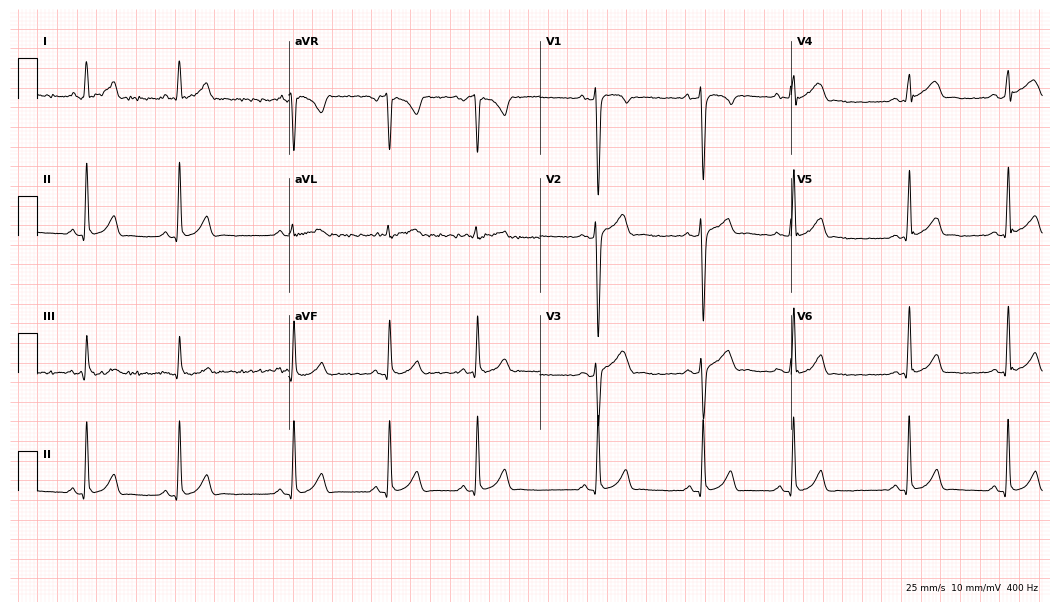
Resting 12-lead electrocardiogram (10.2-second recording at 400 Hz). Patient: a man, 18 years old. None of these six findings is recorded: first-degree AV block, right bundle branch block, left bundle branch block, sinus bradycardia, atrial fibrillation, sinus tachycardia.